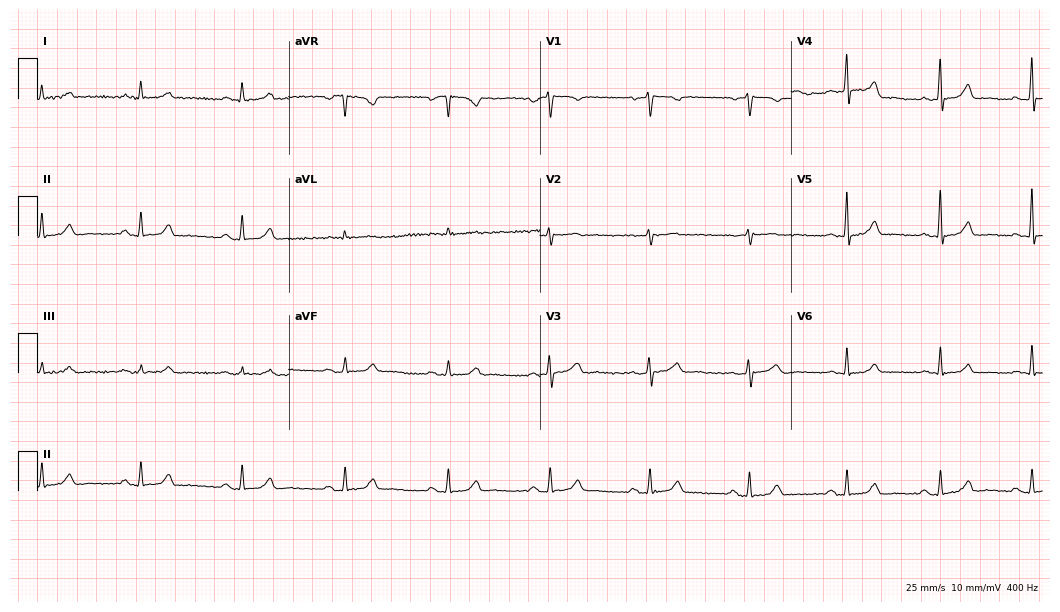
12-lead ECG from a 55-year-old male patient. Screened for six findings — first-degree AV block, right bundle branch block, left bundle branch block, sinus bradycardia, atrial fibrillation, sinus tachycardia — none is recorded.